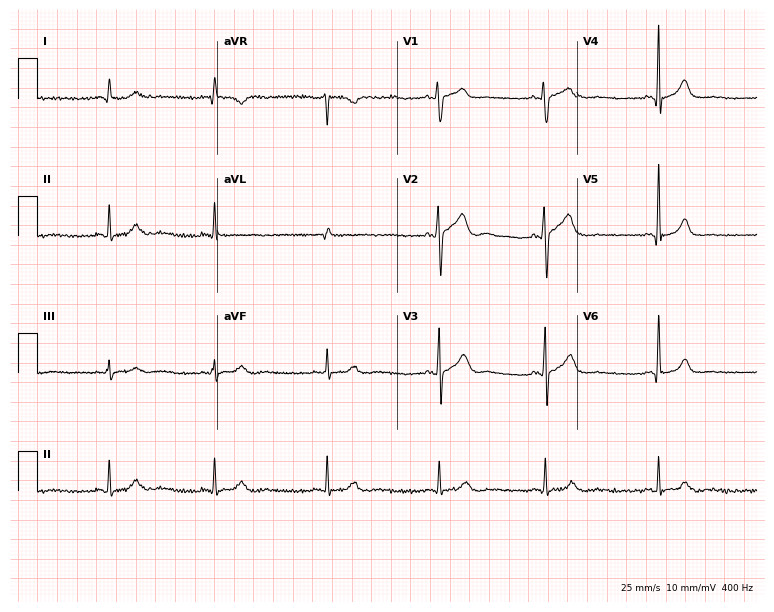
12-lead ECG (7.3-second recording at 400 Hz) from a 25-year-old man. Labelled as a normal ECG.